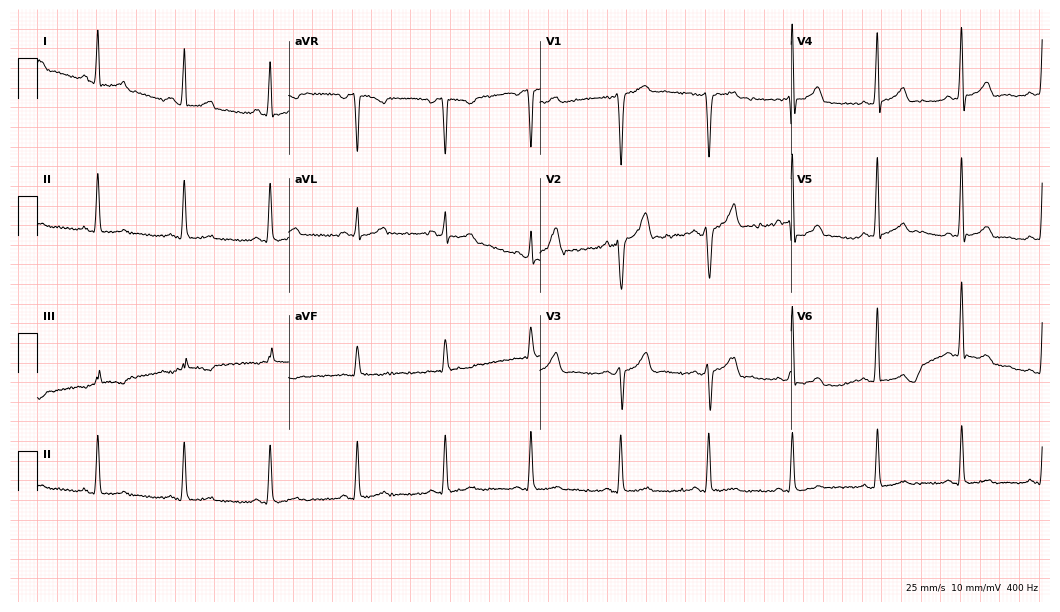
Resting 12-lead electrocardiogram (10.2-second recording at 400 Hz). Patient: a 38-year-old man. Read as a normal ECG.